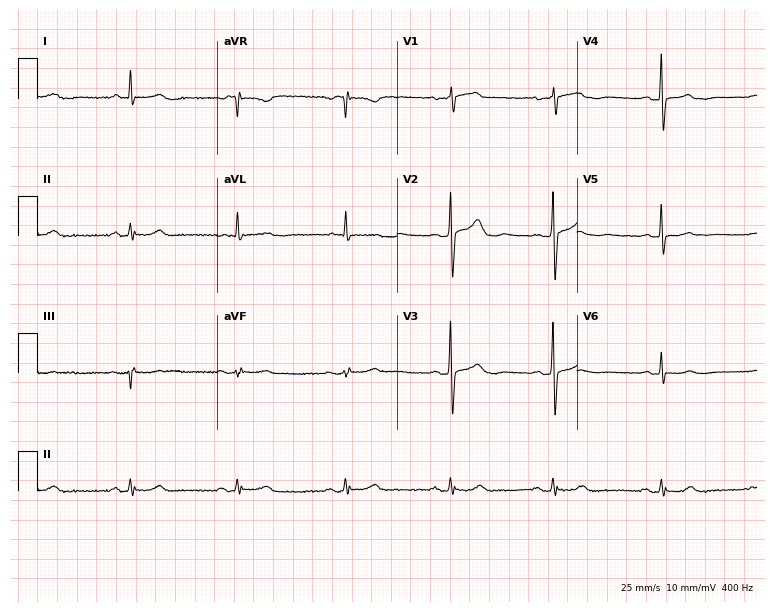
Electrocardiogram (7.3-second recording at 400 Hz), an 80-year-old female patient. Of the six screened findings (first-degree AV block, right bundle branch block, left bundle branch block, sinus bradycardia, atrial fibrillation, sinus tachycardia), none is recorded.